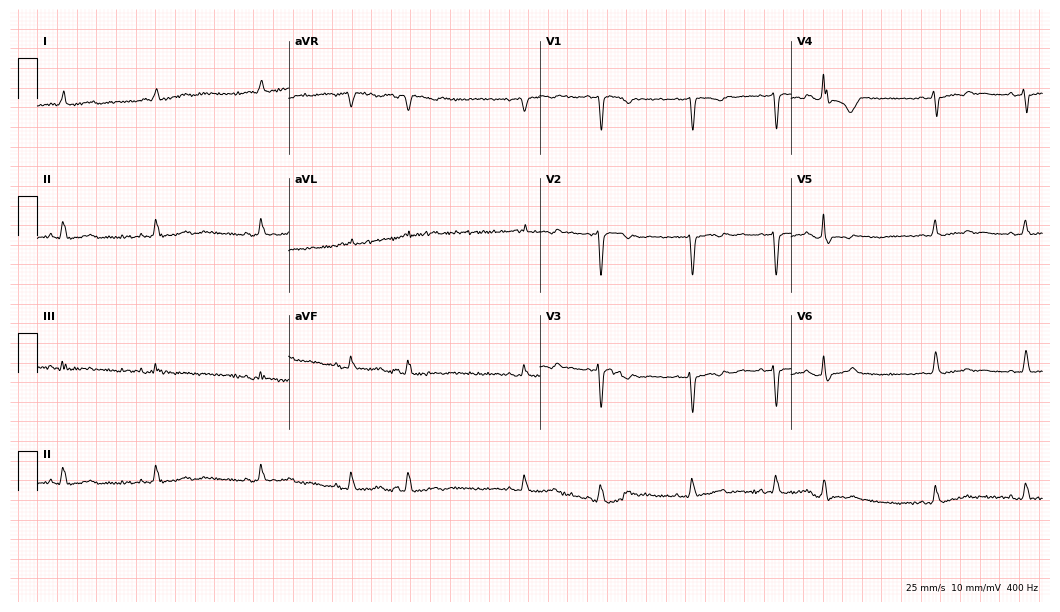
12-lead ECG from a woman, 85 years old (10.2-second recording at 400 Hz). No first-degree AV block, right bundle branch block (RBBB), left bundle branch block (LBBB), sinus bradycardia, atrial fibrillation (AF) or sinus tachycardia recorded for this tracing.